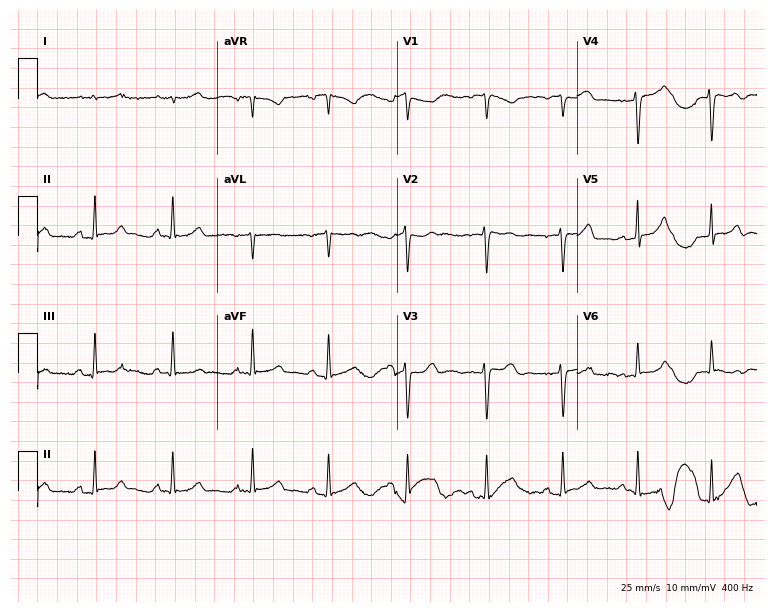
12-lead ECG from a female patient, 22 years old. No first-degree AV block, right bundle branch block (RBBB), left bundle branch block (LBBB), sinus bradycardia, atrial fibrillation (AF) or sinus tachycardia recorded for this tracing. Only these six findings were labelled.